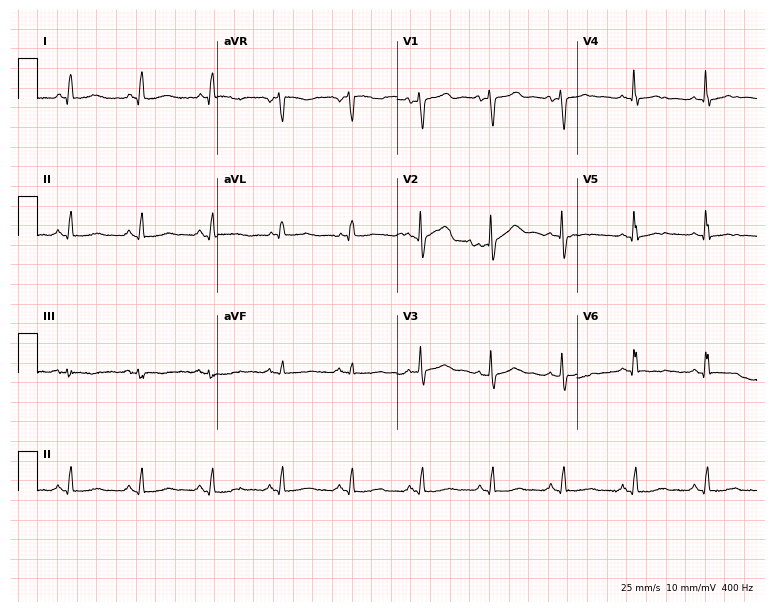
ECG (7.3-second recording at 400 Hz) — a 51-year-old female. Screened for six findings — first-degree AV block, right bundle branch block, left bundle branch block, sinus bradycardia, atrial fibrillation, sinus tachycardia — none is recorded. Findings outside these six are not listed.